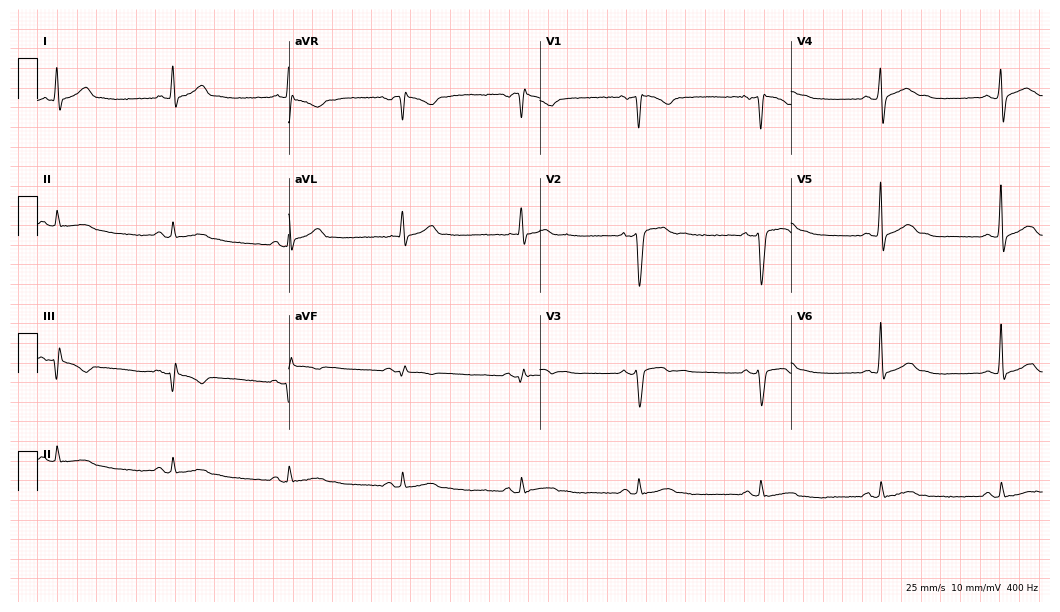
12-lead ECG (10.2-second recording at 400 Hz) from a man, 55 years old. Screened for six findings — first-degree AV block, right bundle branch block, left bundle branch block, sinus bradycardia, atrial fibrillation, sinus tachycardia — none is recorded. Only these six findings were labelled.